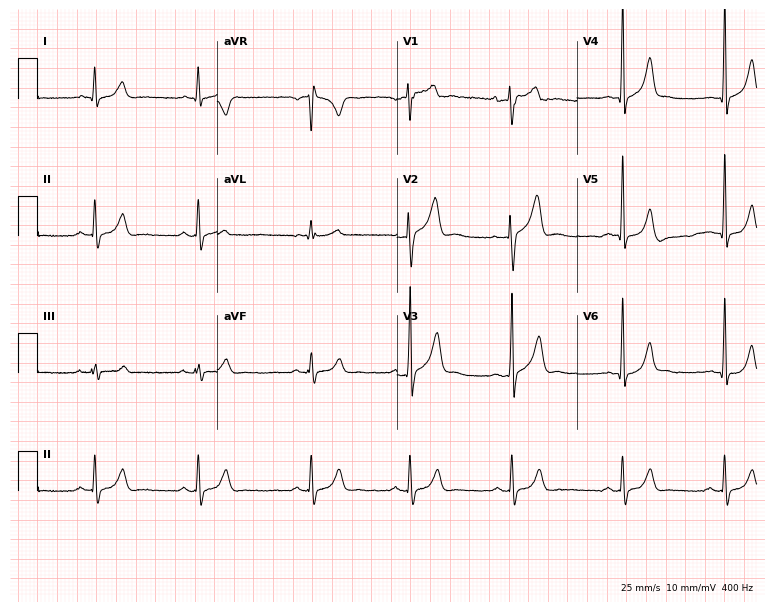
12-lead ECG from a man, 19 years old. Labelled as a normal ECG.